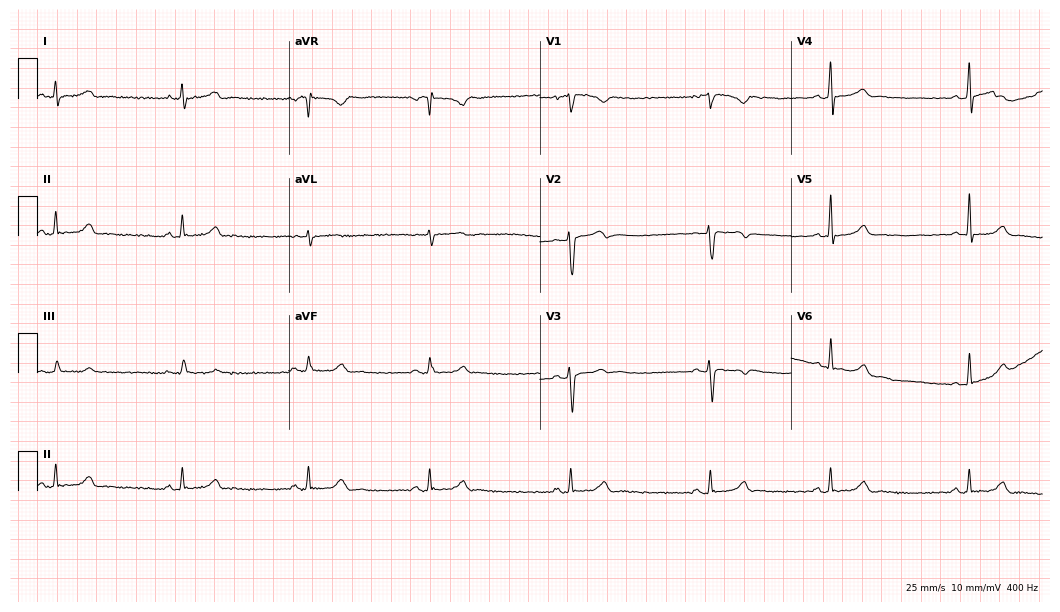
Standard 12-lead ECG recorded from a female, 18 years old. None of these six findings is recorded: first-degree AV block, right bundle branch block (RBBB), left bundle branch block (LBBB), sinus bradycardia, atrial fibrillation (AF), sinus tachycardia. Findings outside these six are not listed.